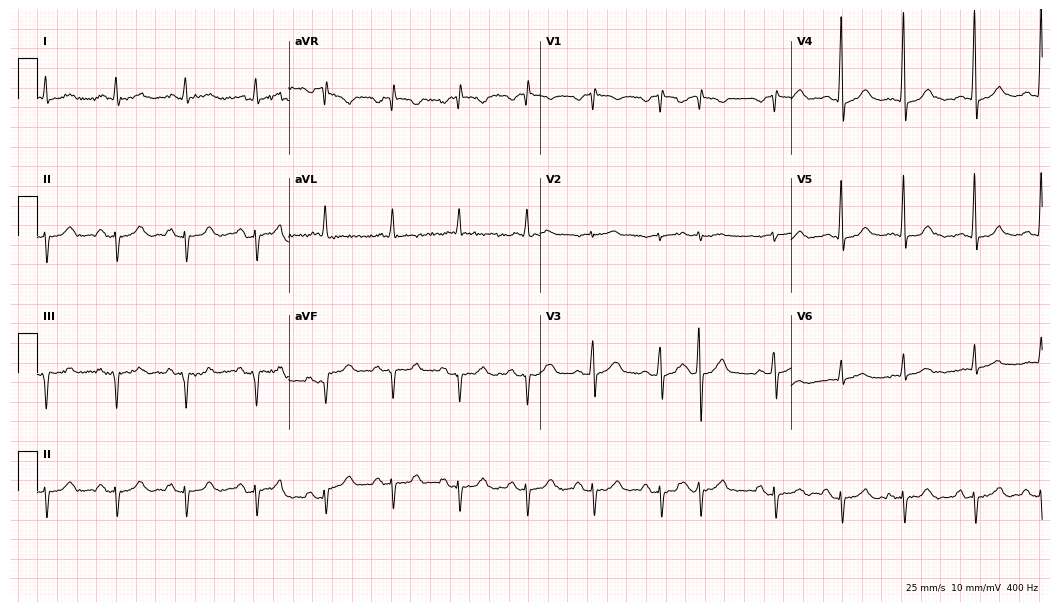
Resting 12-lead electrocardiogram. Patient: a male, 49 years old. None of these six findings is recorded: first-degree AV block, right bundle branch block, left bundle branch block, sinus bradycardia, atrial fibrillation, sinus tachycardia.